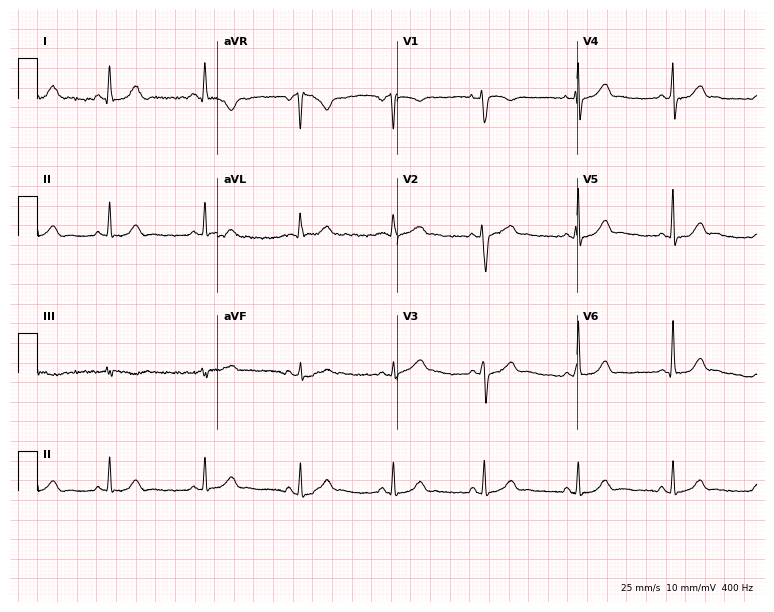
12-lead ECG from a woman, 29 years old. No first-degree AV block, right bundle branch block, left bundle branch block, sinus bradycardia, atrial fibrillation or sinus tachycardia recorded for this tracing. Findings outside these six are not listed.